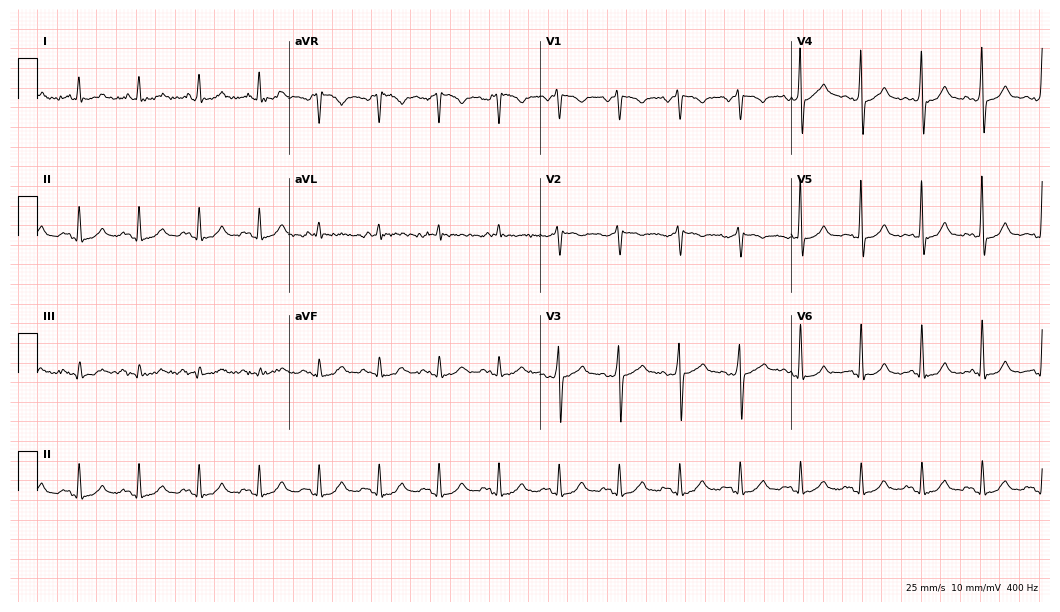
Electrocardiogram (10.2-second recording at 400 Hz), a male, 64 years old. Of the six screened findings (first-degree AV block, right bundle branch block, left bundle branch block, sinus bradycardia, atrial fibrillation, sinus tachycardia), none is recorded. Findings outside these six are not listed.